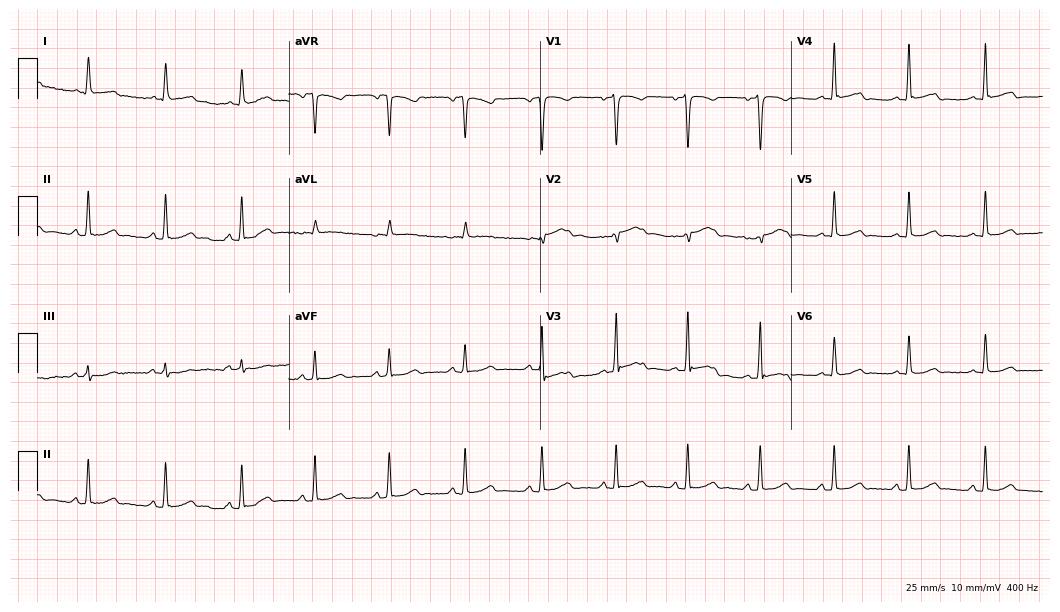
Electrocardiogram, a 38-year-old female. Of the six screened findings (first-degree AV block, right bundle branch block, left bundle branch block, sinus bradycardia, atrial fibrillation, sinus tachycardia), none is recorded. Other findings, if any, are not listed.